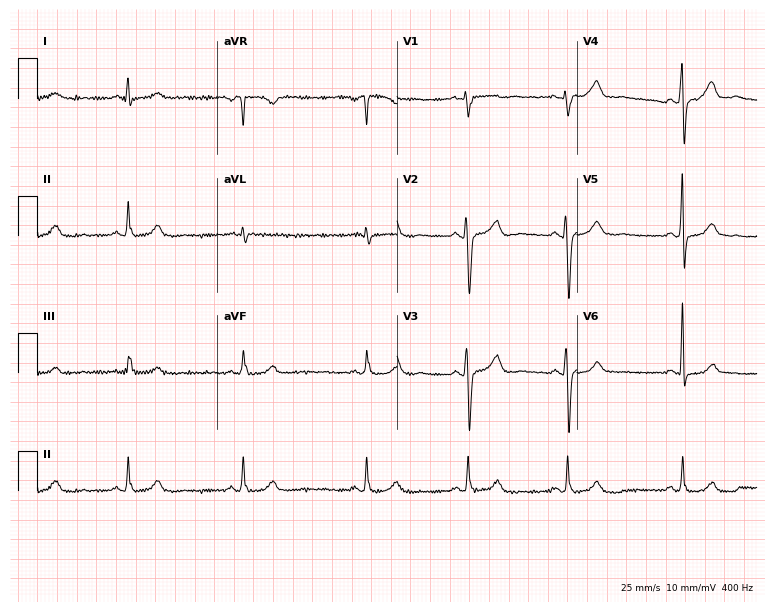
Electrocardiogram, a 35-year-old female patient. Of the six screened findings (first-degree AV block, right bundle branch block, left bundle branch block, sinus bradycardia, atrial fibrillation, sinus tachycardia), none is recorded.